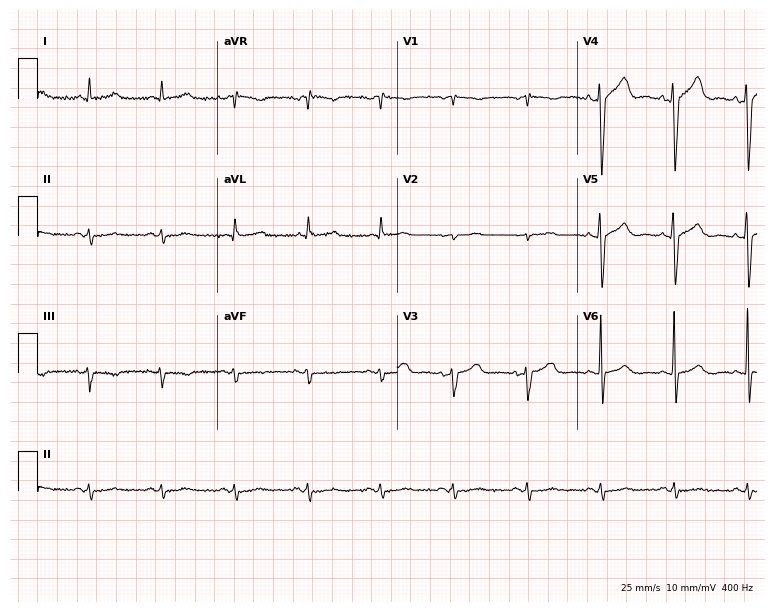
Resting 12-lead electrocardiogram. Patient: a 67-year-old man. None of these six findings is recorded: first-degree AV block, right bundle branch block, left bundle branch block, sinus bradycardia, atrial fibrillation, sinus tachycardia.